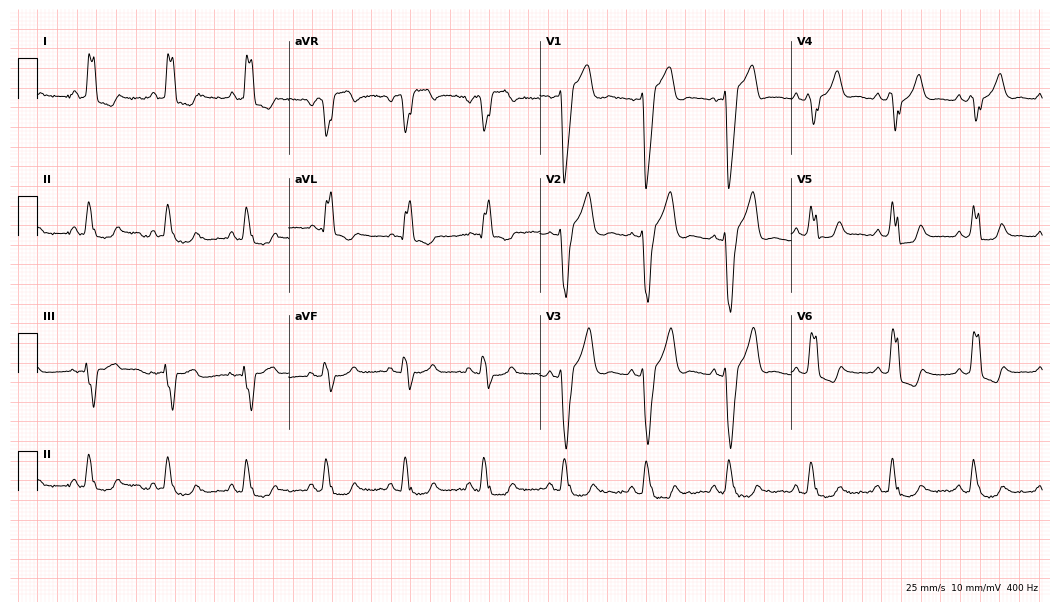
Standard 12-lead ECG recorded from a female patient, 58 years old (10.2-second recording at 400 Hz). The tracing shows left bundle branch block.